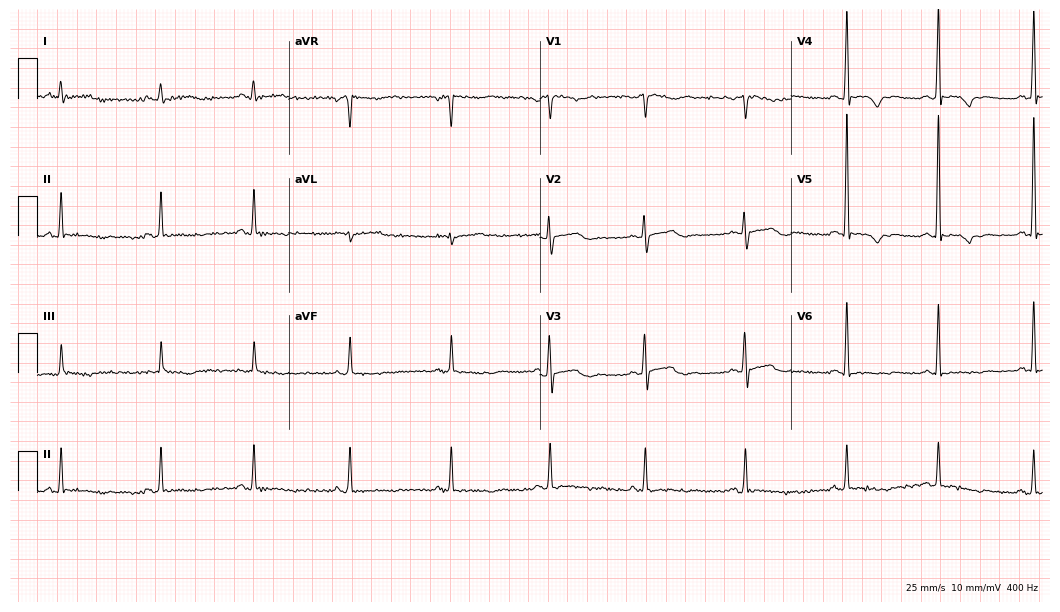
12-lead ECG (10.2-second recording at 400 Hz) from a woman, 43 years old. Screened for six findings — first-degree AV block, right bundle branch block, left bundle branch block, sinus bradycardia, atrial fibrillation, sinus tachycardia — none is recorded.